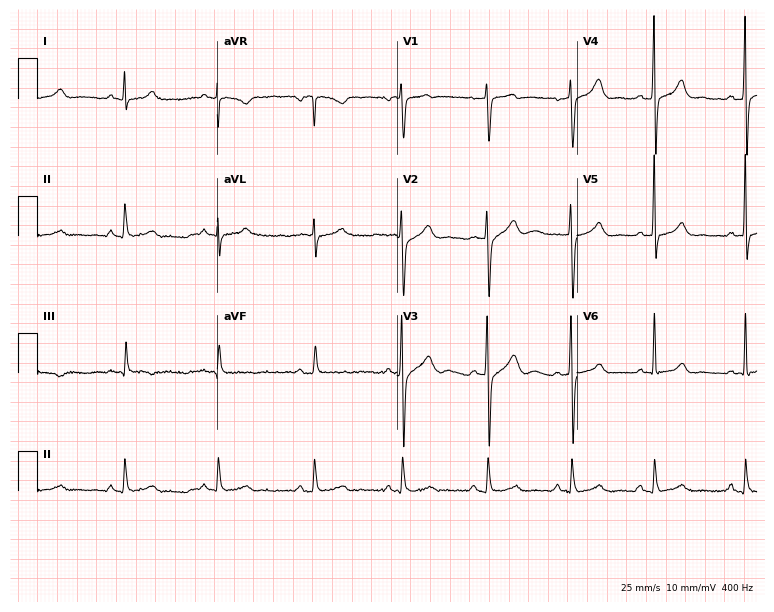
ECG (7.3-second recording at 400 Hz) — a 43-year-old male patient. Screened for six findings — first-degree AV block, right bundle branch block (RBBB), left bundle branch block (LBBB), sinus bradycardia, atrial fibrillation (AF), sinus tachycardia — none is recorded. Only these six findings were labelled.